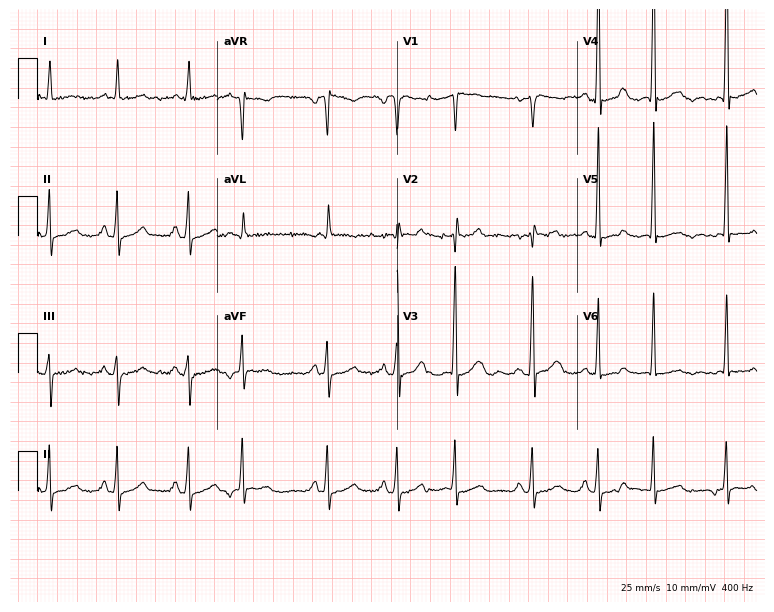
Electrocardiogram, a 43-year-old male patient. Of the six screened findings (first-degree AV block, right bundle branch block, left bundle branch block, sinus bradycardia, atrial fibrillation, sinus tachycardia), none is recorded.